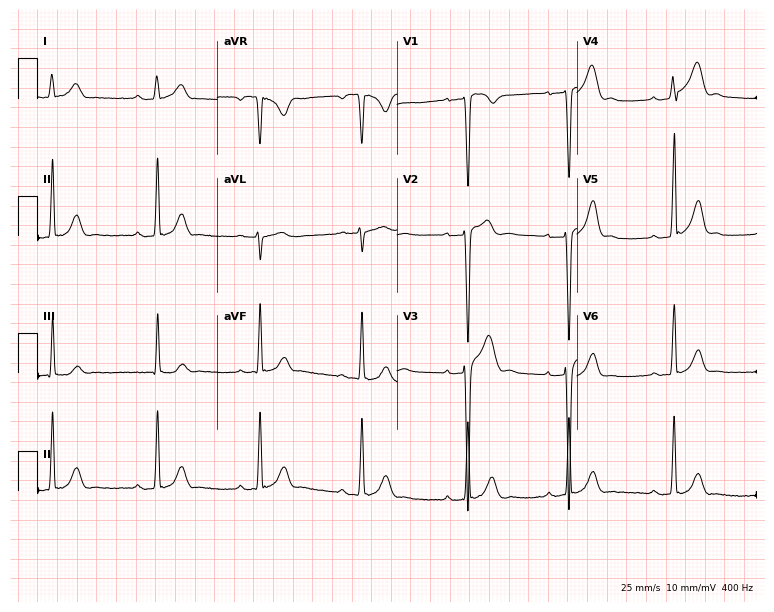
Electrocardiogram (7.3-second recording at 400 Hz), a male, 26 years old. Of the six screened findings (first-degree AV block, right bundle branch block, left bundle branch block, sinus bradycardia, atrial fibrillation, sinus tachycardia), none is recorded.